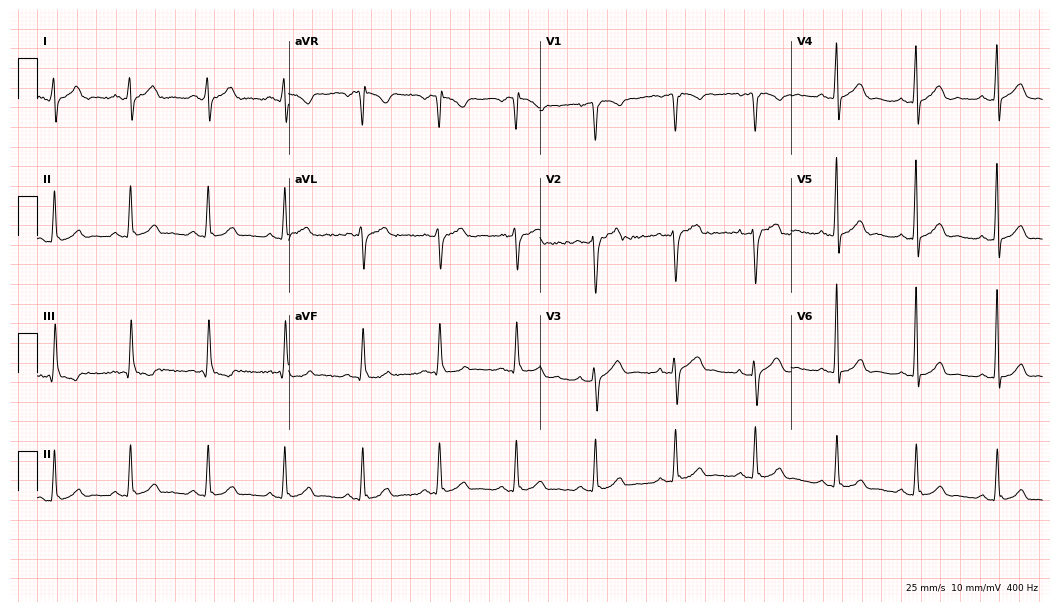
Standard 12-lead ECG recorded from a man, 31 years old. Read as a normal ECG.